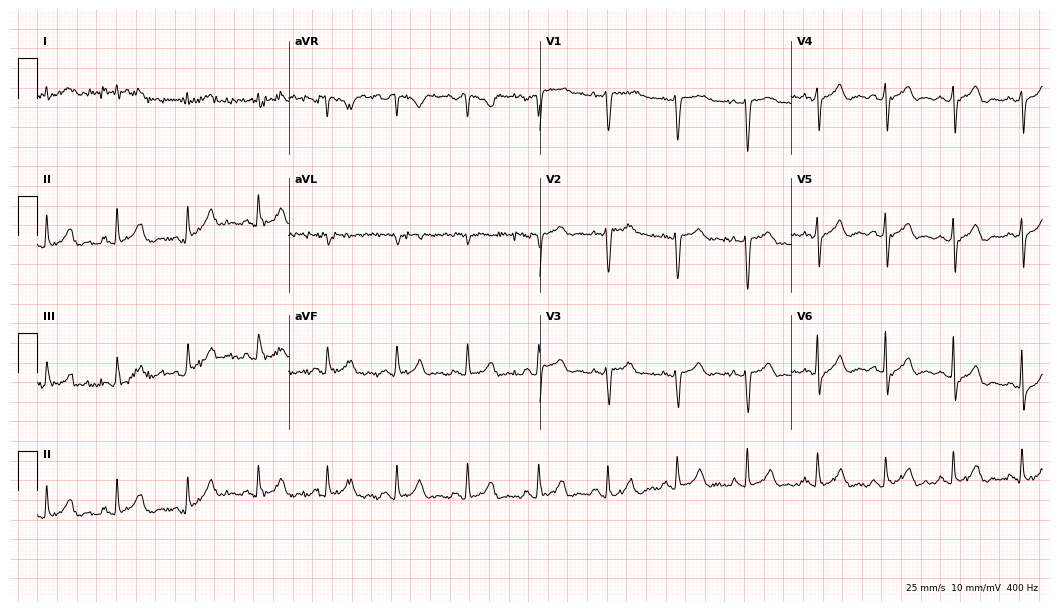
12-lead ECG from a male patient, 57 years old. Screened for six findings — first-degree AV block, right bundle branch block, left bundle branch block, sinus bradycardia, atrial fibrillation, sinus tachycardia — none is recorded.